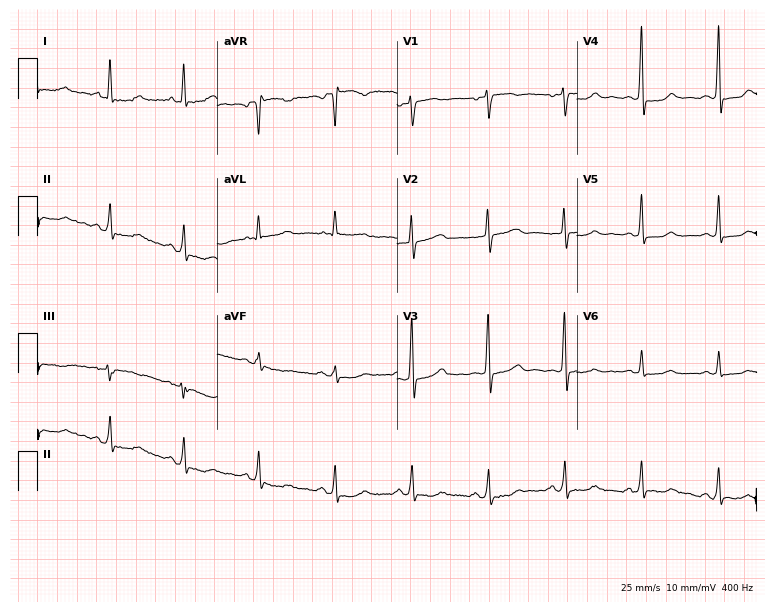
Resting 12-lead electrocardiogram (7.3-second recording at 400 Hz). Patient: a 56-year-old female. None of these six findings is recorded: first-degree AV block, right bundle branch block, left bundle branch block, sinus bradycardia, atrial fibrillation, sinus tachycardia.